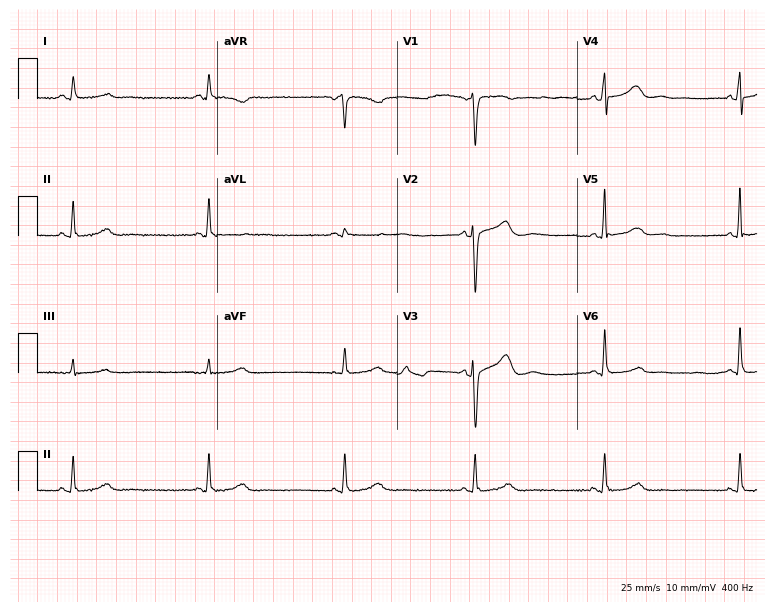
12-lead ECG from a female patient, 51 years old (7.3-second recording at 400 Hz). Shows sinus bradycardia (a sinus rate of 50 beats per minute or less).